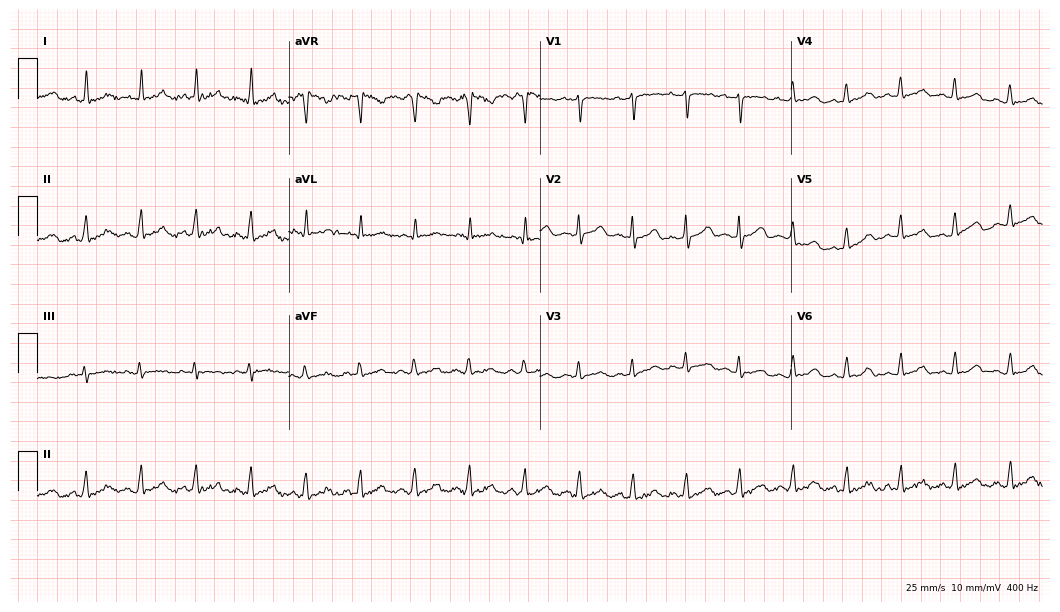
ECG (10.2-second recording at 400 Hz) — a female patient, 27 years old. Findings include sinus tachycardia (a sinus rate of 100 beats per minute or more).